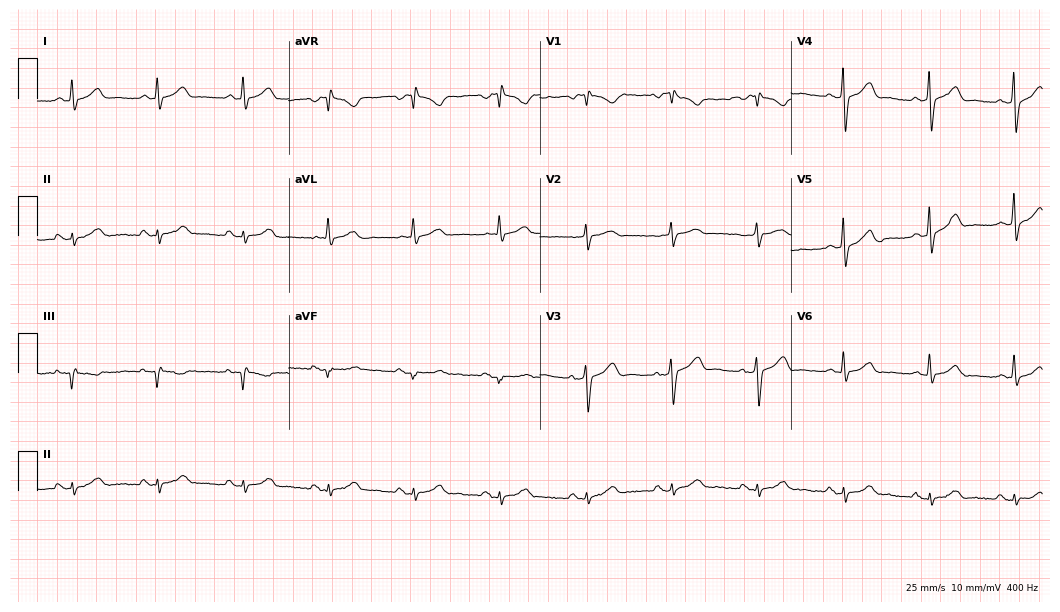
Resting 12-lead electrocardiogram. Patient: a man, 54 years old. None of these six findings is recorded: first-degree AV block, right bundle branch block, left bundle branch block, sinus bradycardia, atrial fibrillation, sinus tachycardia. Only these six findings were labelled.